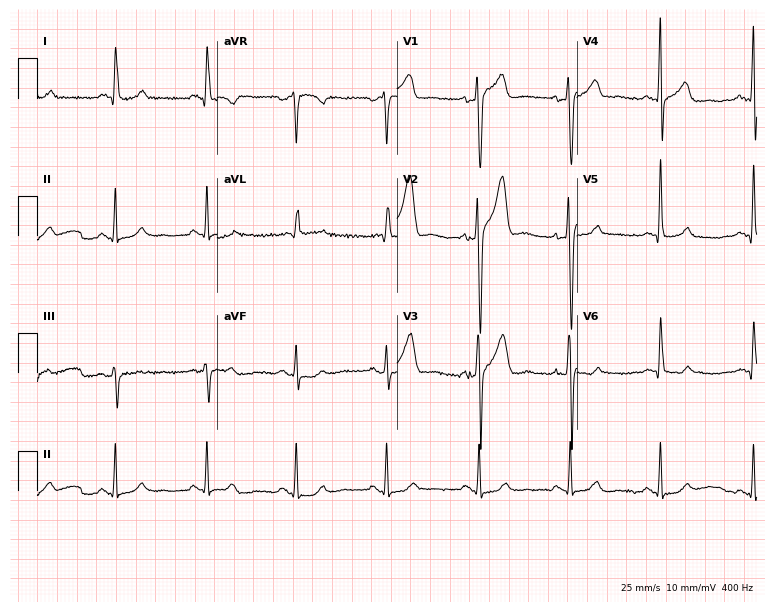
12-lead ECG (7.3-second recording at 400 Hz) from a 53-year-old male patient. Labelled as a normal ECG.